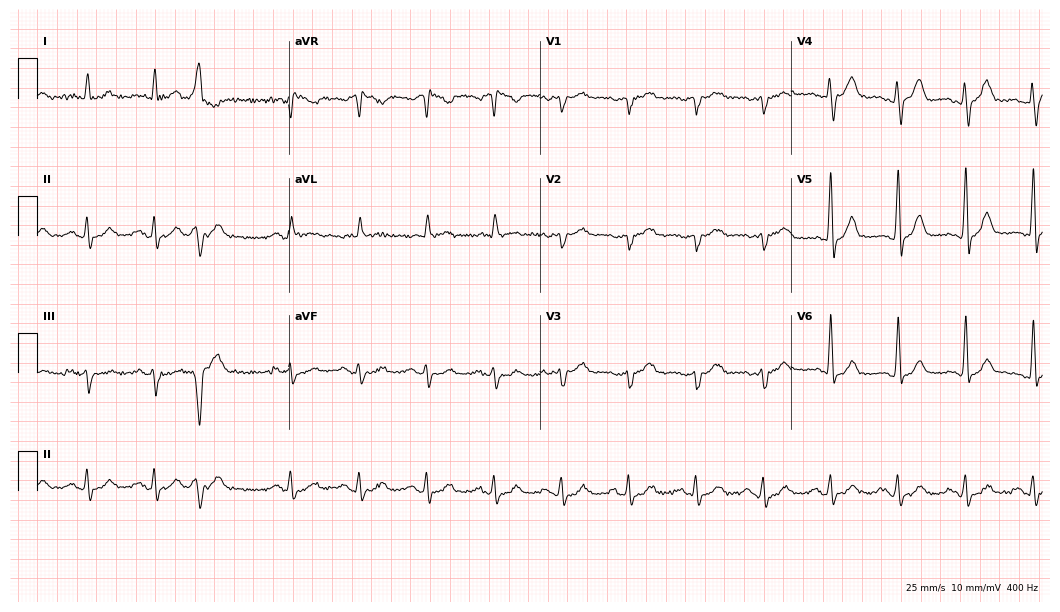
Electrocardiogram (10.2-second recording at 400 Hz), an 82-year-old male patient. Of the six screened findings (first-degree AV block, right bundle branch block, left bundle branch block, sinus bradycardia, atrial fibrillation, sinus tachycardia), none is recorded.